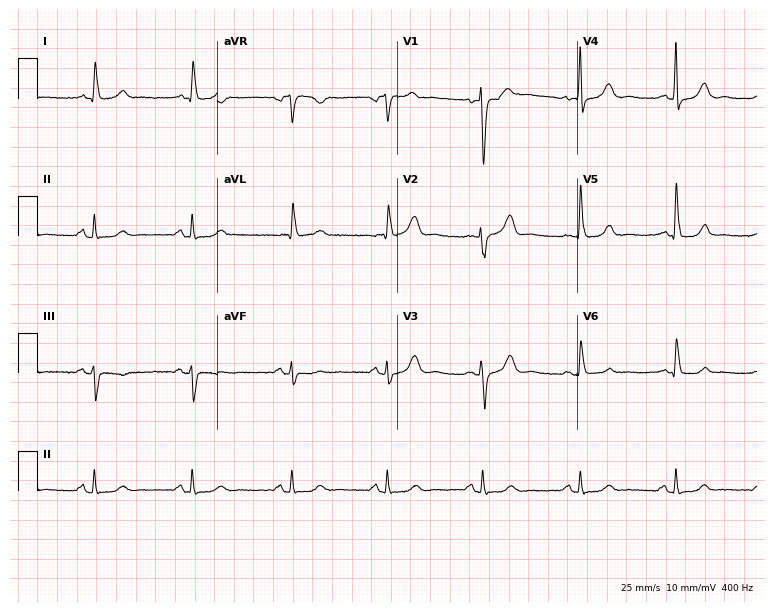
Electrocardiogram, an 83-year-old female. Overall reading on record: normal ECG.